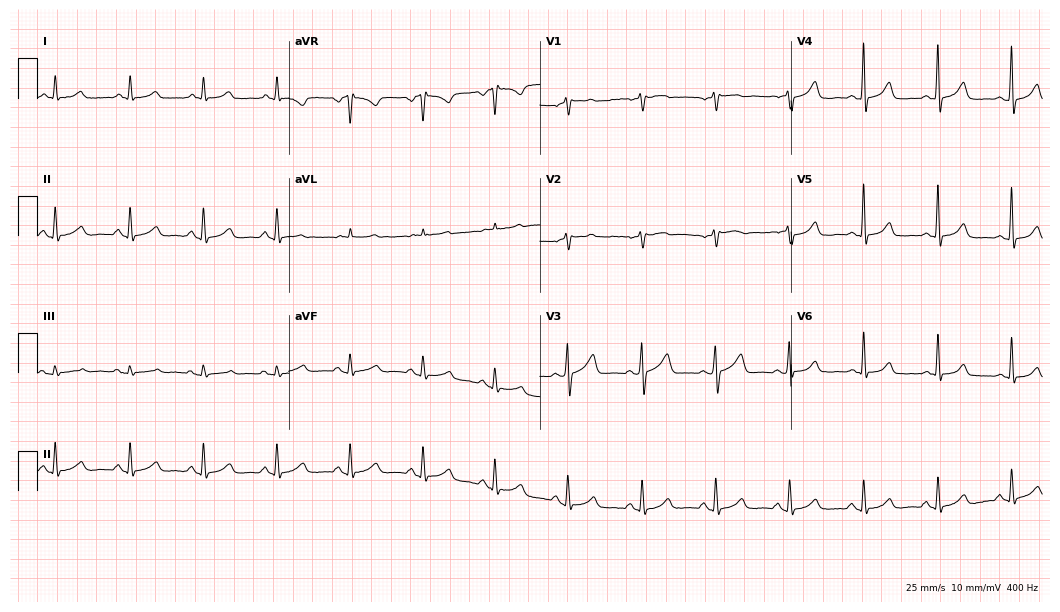
12-lead ECG from a 57-year-old male. Recorded interpretation: within normal limits.